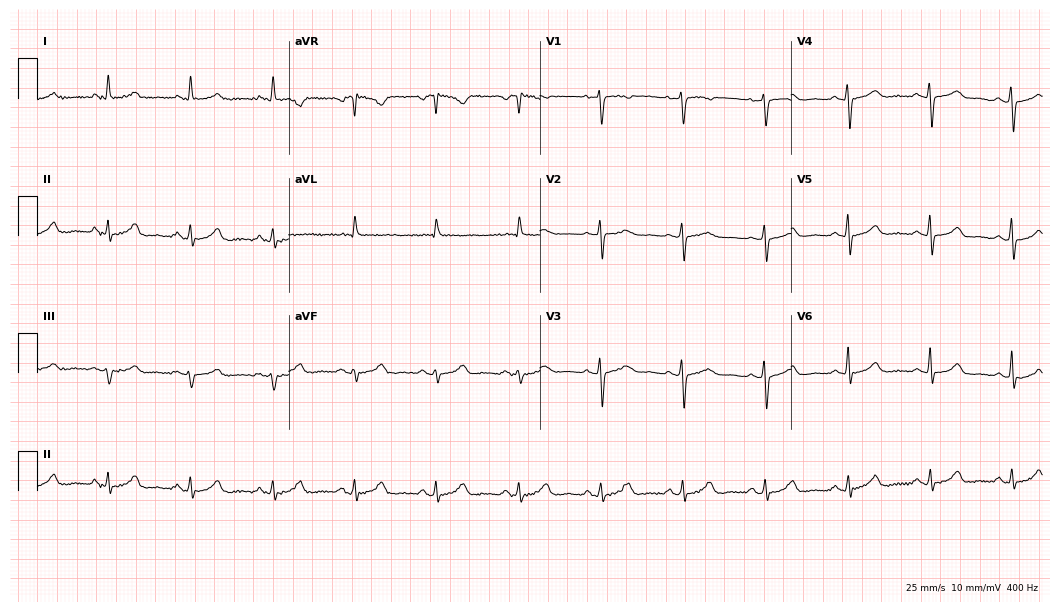
ECG — a 78-year-old female patient. Labelled as a normal ECG.